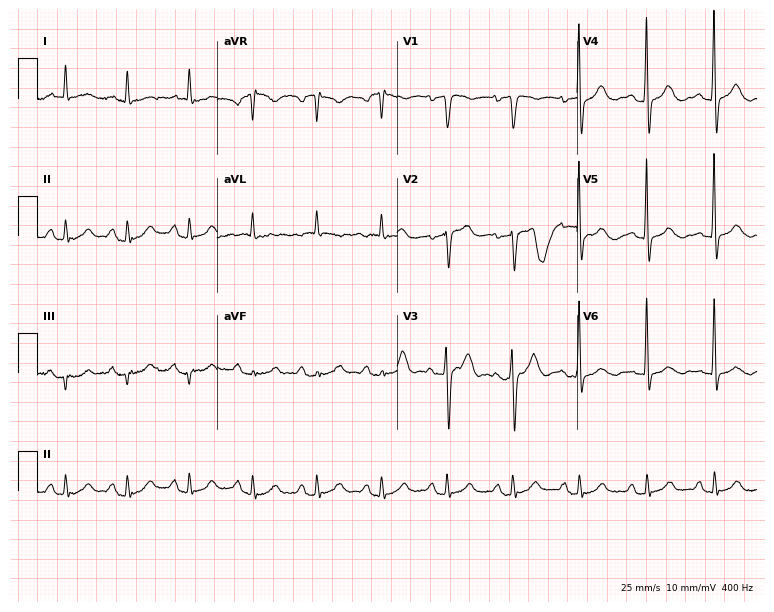
12-lead ECG (7.3-second recording at 400 Hz) from a female patient, 66 years old. Screened for six findings — first-degree AV block, right bundle branch block, left bundle branch block, sinus bradycardia, atrial fibrillation, sinus tachycardia — none is recorded. Other findings, if any, are not listed.